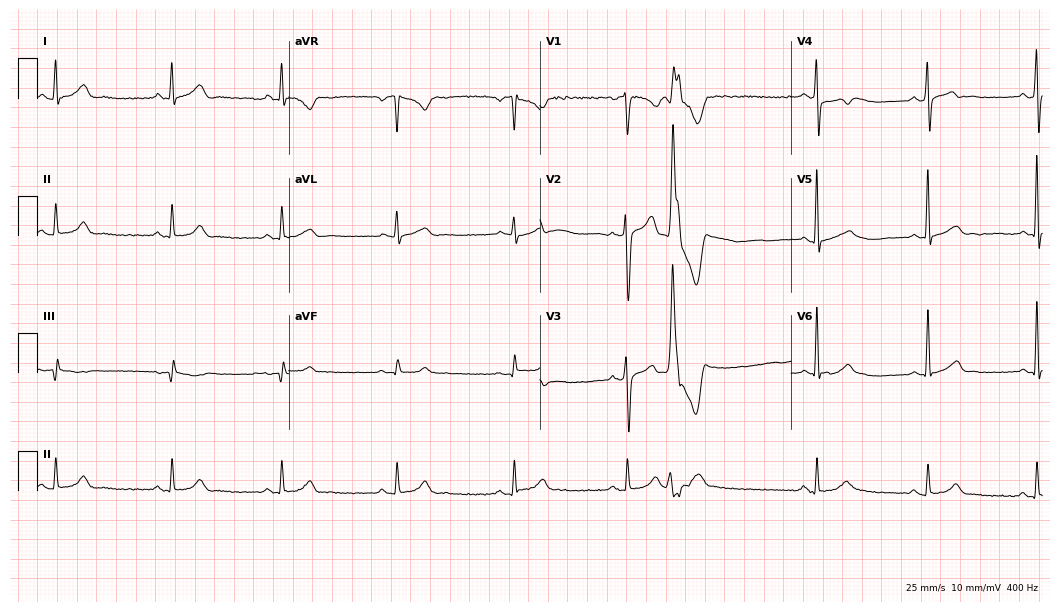
Resting 12-lead electrocardiogram (10.2-second recording at 400 Hz). Patient: a 29-year-old man. None of these six findings is recorded: first-degree AV block, right bundle branch block (RBBB), left bundle branch block (LBBB), sinus bradycardia, atrial fibrillation (AF), sinus tachycardia. Only these six findings were labelled.